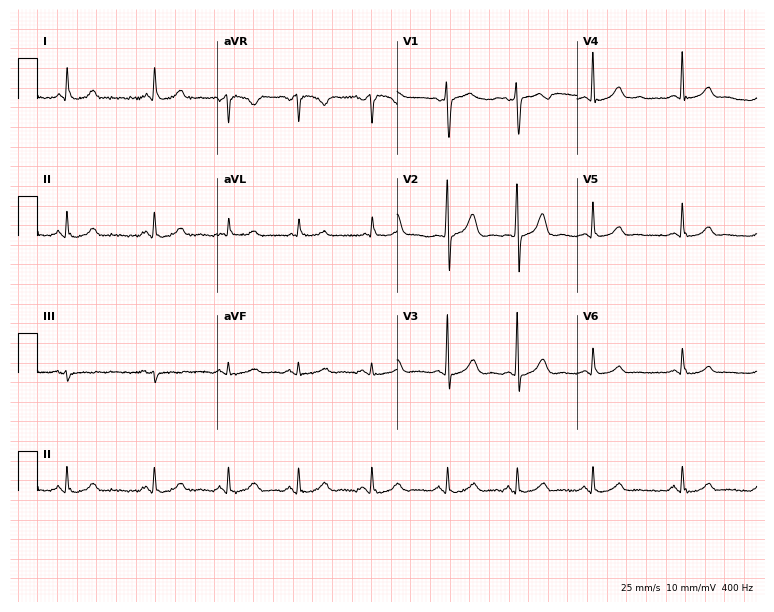
Electrocardiogram (7.3-second recording at 400 Hz), a 59-year-old female. Overall reading on record: normal ECG.